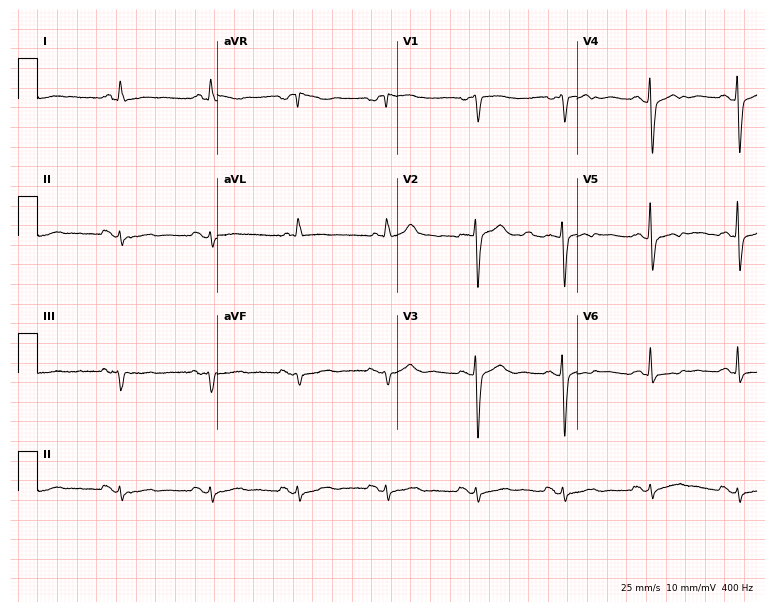
12-lead ECG from a 78-year-old female patient. No first-degree AV block, right bundle branch block, left bundle branch block, sinus bradycardia, atrial fibrillation or sinus tachycardia recorded for this tracing.